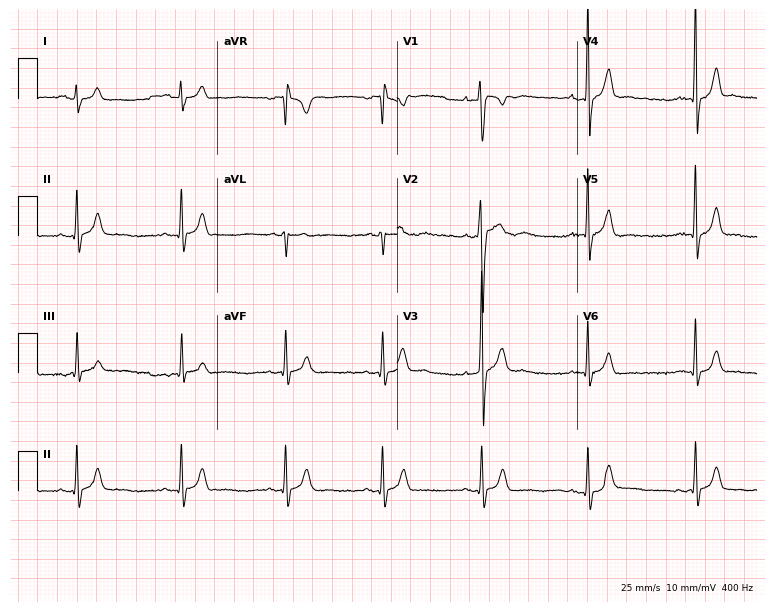
Standard 12-lead ECG recorded from a 20-year-old female patient (7.3-second recording at 400 Hz). Read as a normal ECG.